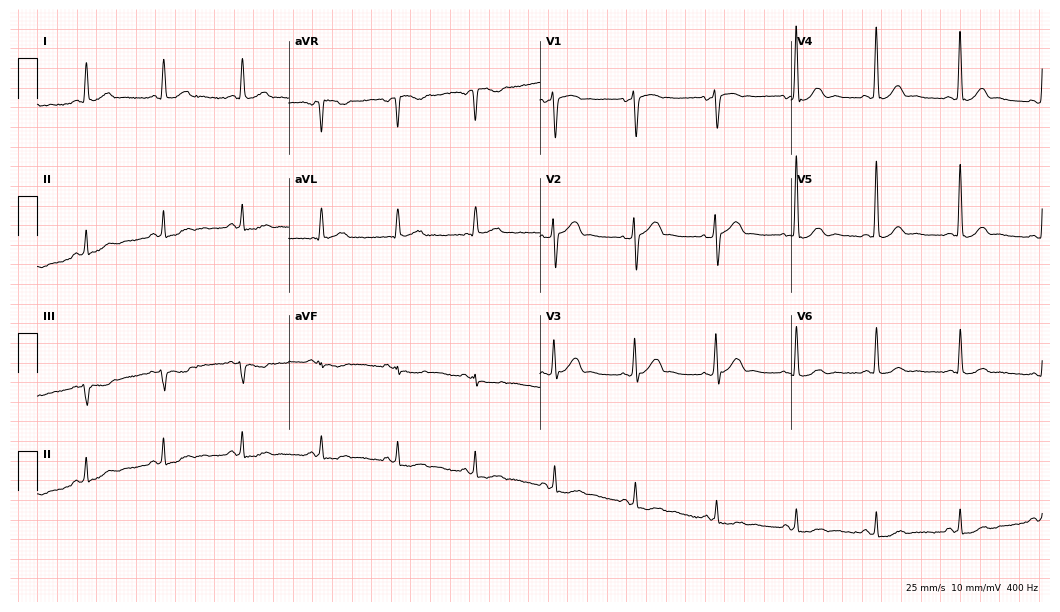
Standard 12-lead ECG recorded from a male, 72 years old. None of these six findings is recorded: first-degree AV block, right bundle branch block, left bundle branch block, sinus bradycardia, atrial fibrillation, sinus tachycardia. Other findings, if any, are not listed.